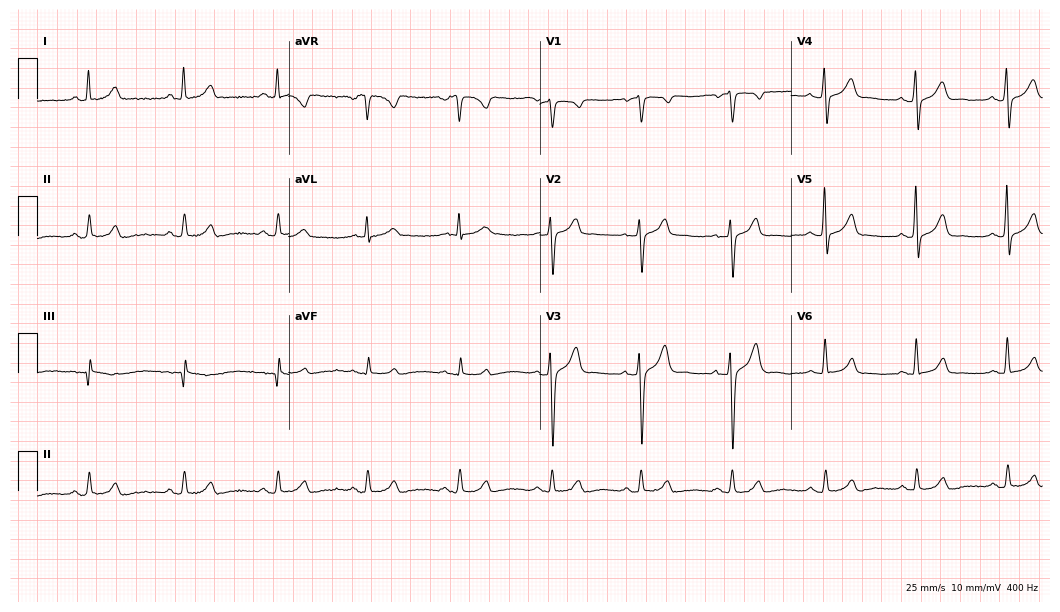
12-lead ECG from a male, 35 years old. Labelled as a normal ECG.